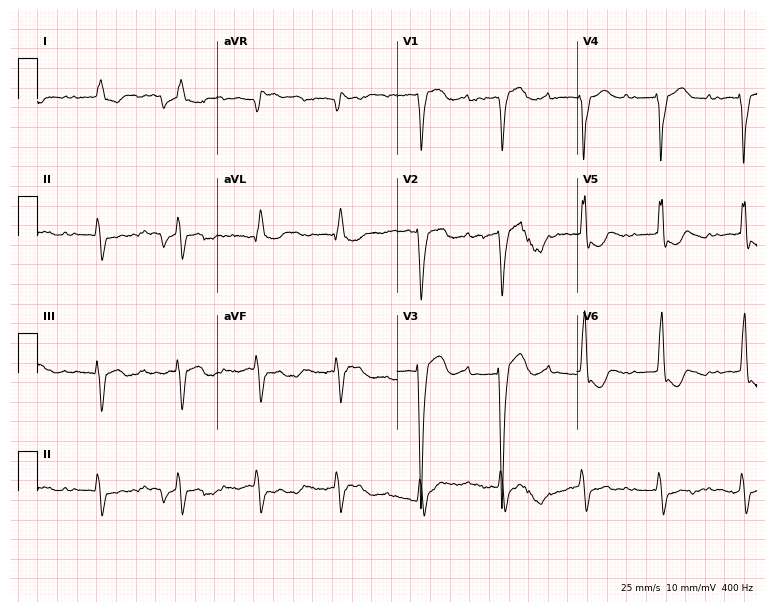
Electrocardiogram, a female, 82 years old. Of the six screened findings (first-degree AV block, right bundle branch block (RBBB), left bundle branch block (LBBB), sinus bradycardia, atrial fibrillation (AF), sinus tachycardia), none is recorded. Other findings, if any, are not listed.